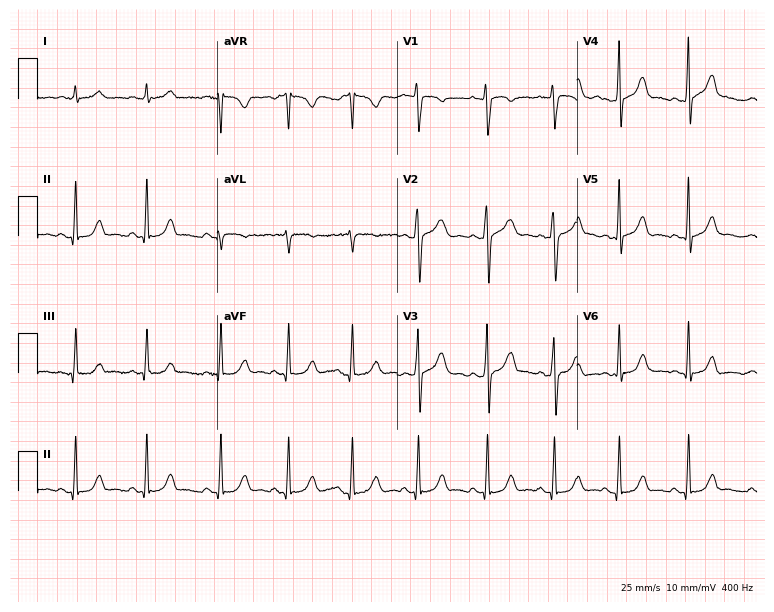
12-lead ECG from a 23-year-old female patient (7.3-second recording at 400 Hz). Recorded interpretation: within normal limits.